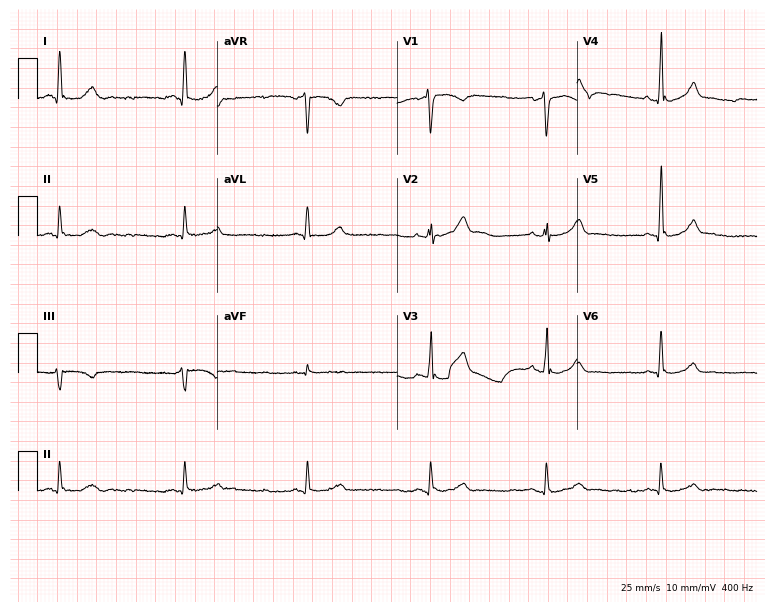
ECG (7.3-second recording at 400 Hz) — a 57-year-old male. Findings include sinus bradycardia (a sinus rate of 50 beats per minute or less).